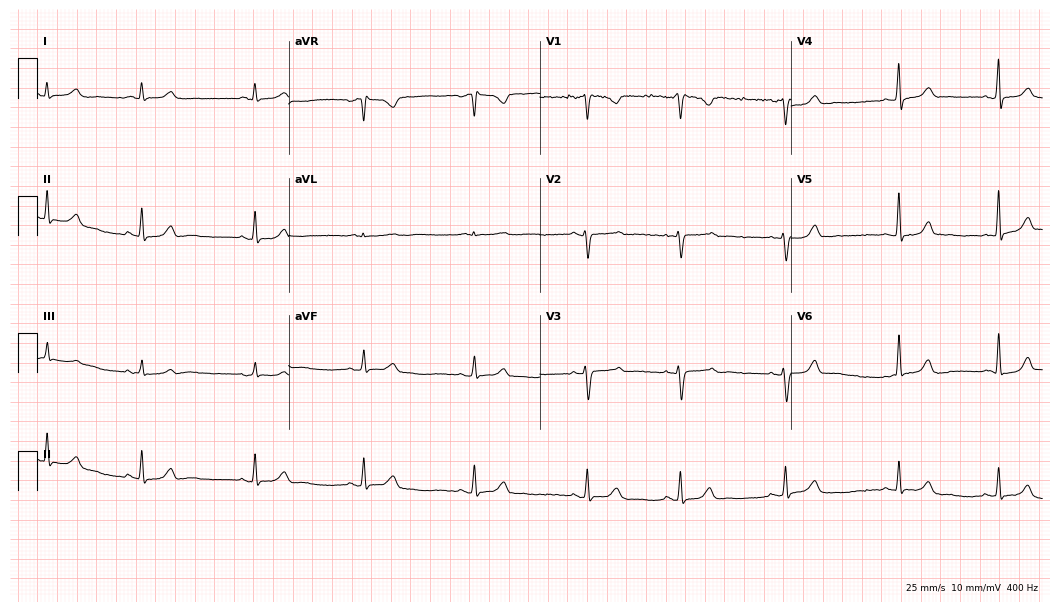
ECG — a woman, 32 years old. Labelled as a normal ECG.